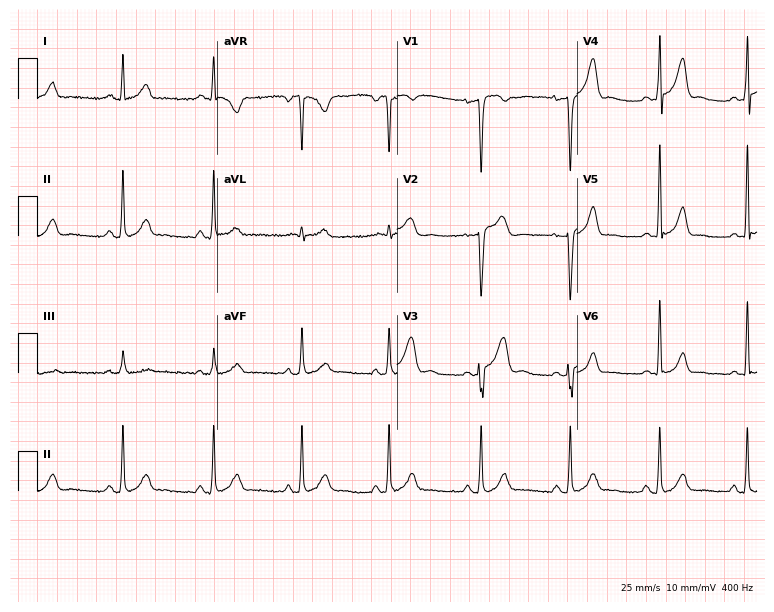
Electrocardiogram, a male, 46 years old. Of the six screened findings (first-degree AV block, right bundle branch block, left bundle branch block, sinus bradycardia, atrial fibrillation, sinus tachycardia), none is recorded.